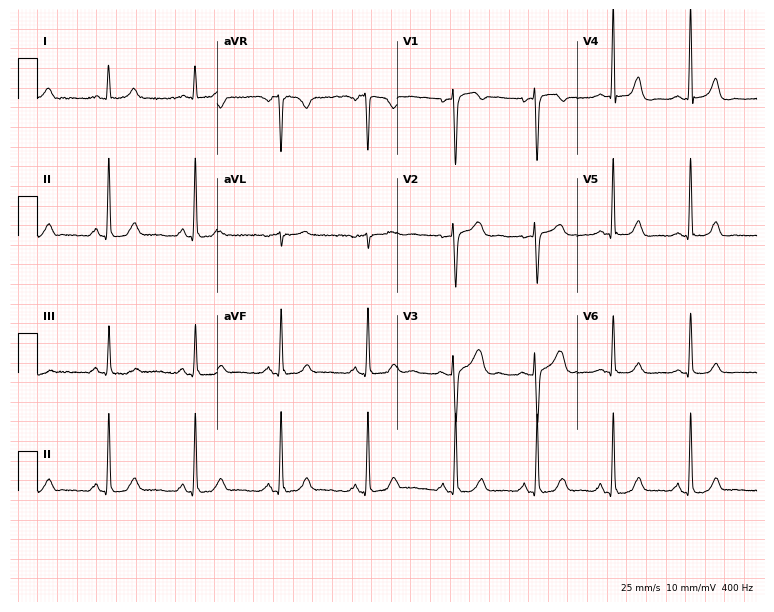
ECG (7.3-second recording at 400 Hz) — a 38-year-old female. Screened for six findings — first-degree AV block, right bundle branch block, left bundle branch block, sinus bradycardia, atrial fibrillation, sinus tachycardia — none is recorded. Other findings, if any, are not listed.